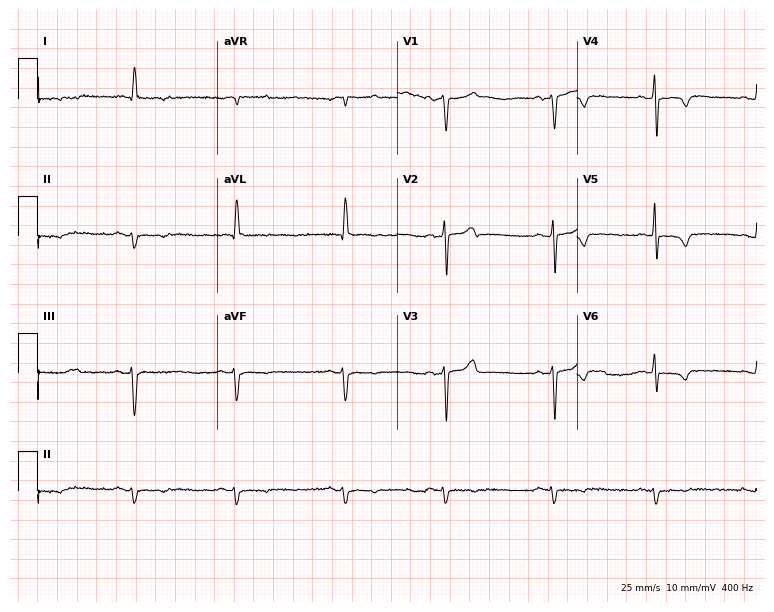
12-lead ECG from an 81-year-old man (7.3-second recording at 400 Hz). No first-degree AV block, right bundle branch block, left bundle branch block, sinus bradycardia, atrial fibrillation or sinus tachycardia recorded for this tracing. Only these six findings were labelled.